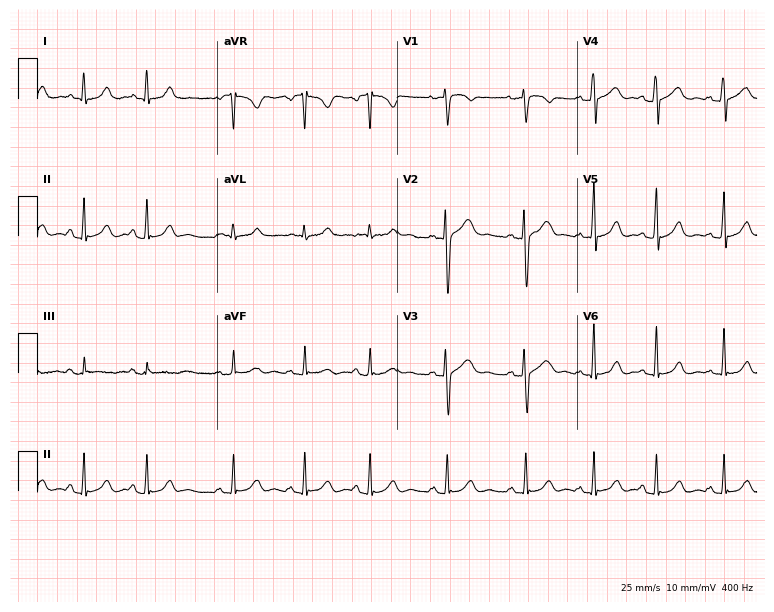
ECG — a 21-year-old woman. Screened for six findings — first-degree AV block, right bundle branch block, left bundle branch block, sinus bradycardia, atrial fibrillation, sinus tachycardia — none is recorded.